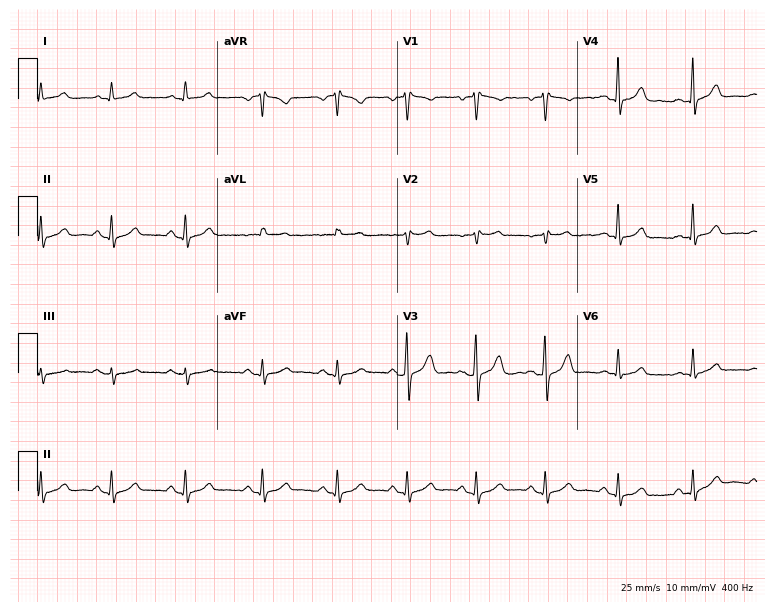
12-lead ECG from a woman, 39 years old (7.3-second recording at 400 Hz). Recorded interpretation: within normal limits.